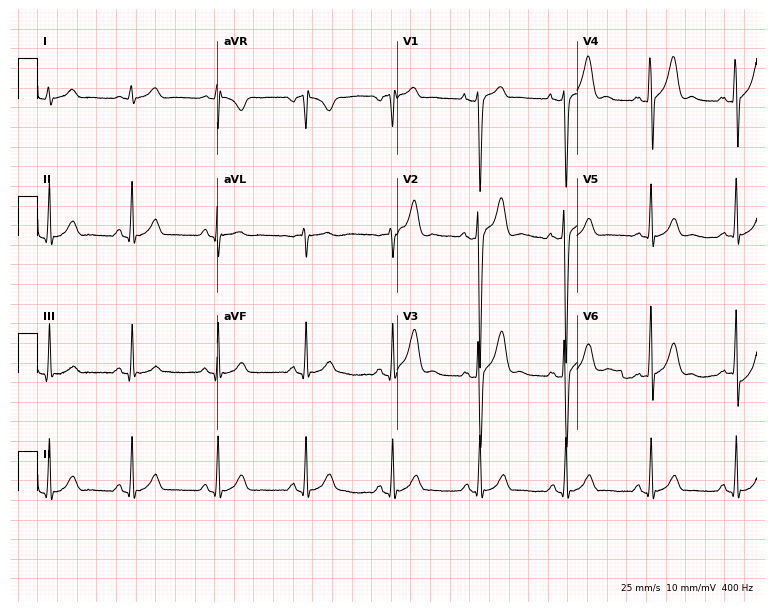
12-lead ECG from a 40-year-old male (7.3-second recording at 400 Hz). No first-degree AV block, right bundle branch block, left bundle branch block, sinus bradycardia, atrial fibrillation or sinus tachycardia recorded for this tracing.